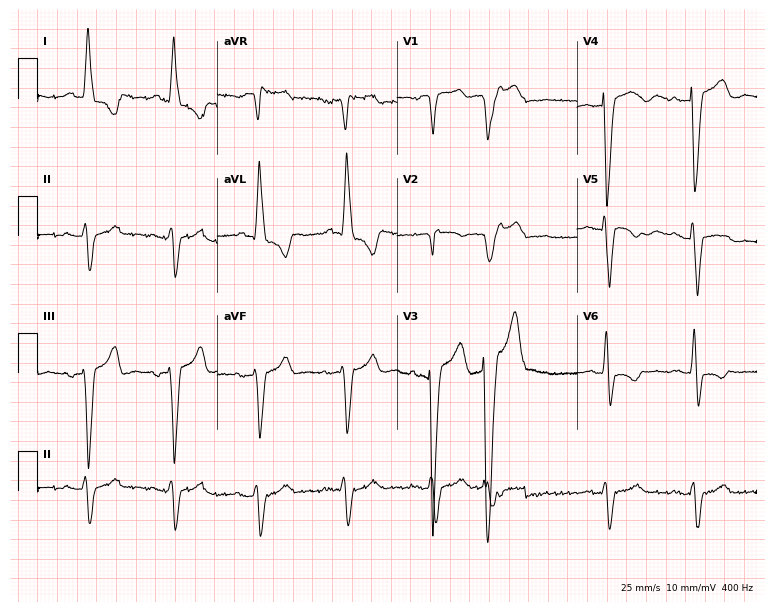
12-lead ECG from an 80-year-old male. Findings include left bundle branch block (LBBB).